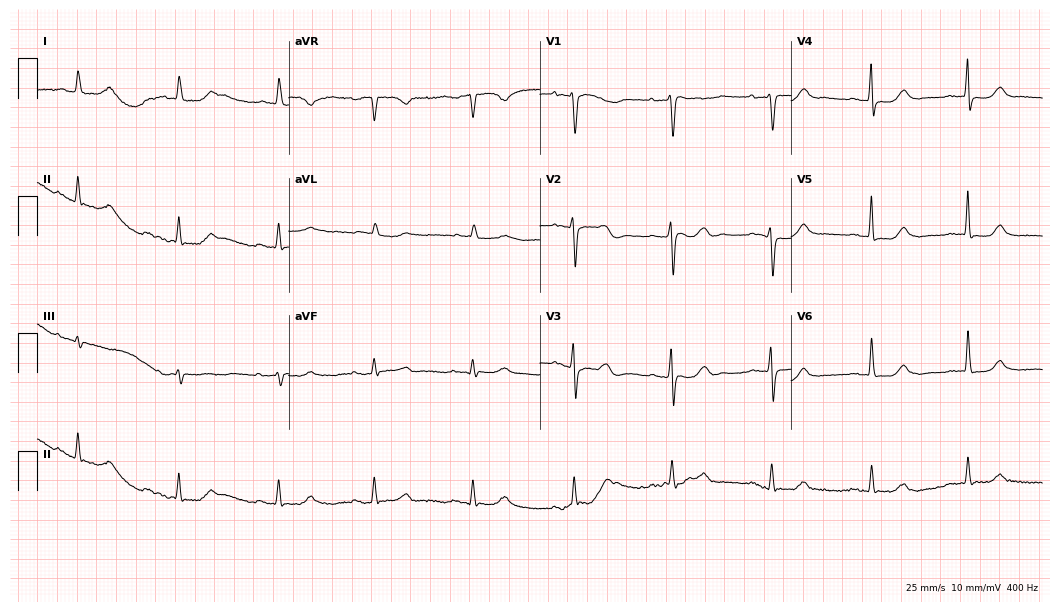
Resting 12-lead electrocardiogram (10.2-second recording at 400 Hz). Patient: a female, 79 years old. None of these six findings is recorded: first-degree AV block, right bundle branch block (RBBB), left bundle branch block (LBBB), sinus bradycardia, atrial fibrillation (AF), sinus tachycardia.